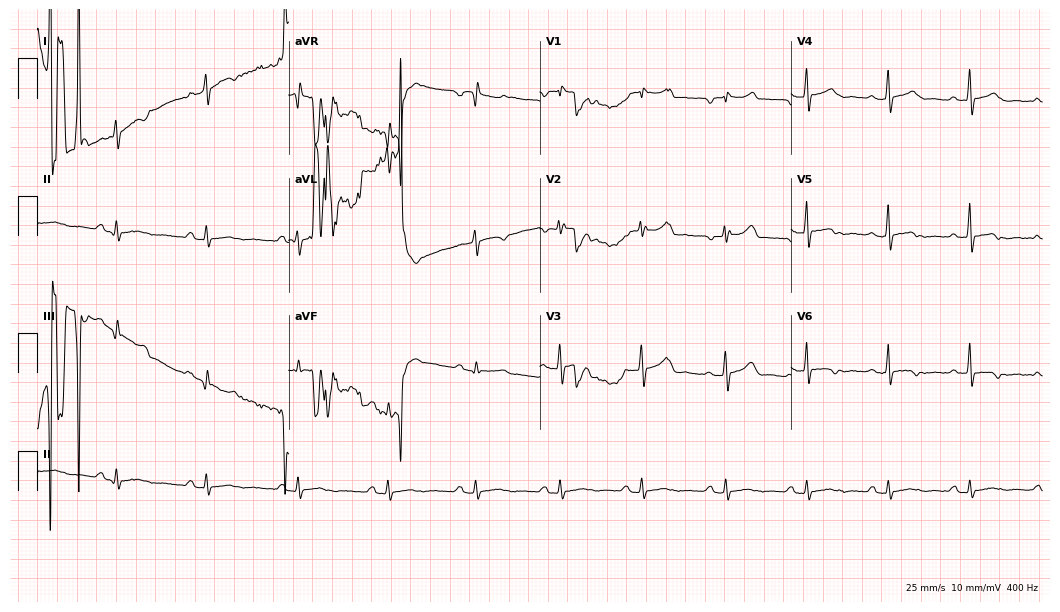
12-lead ECG from a 35-year-old male patient. No first-degree AV block, right bundle branch block, left bundle branch block, sinus bradycardia, atrial fibrillation or sinus tachycardia recorded for this tracing.